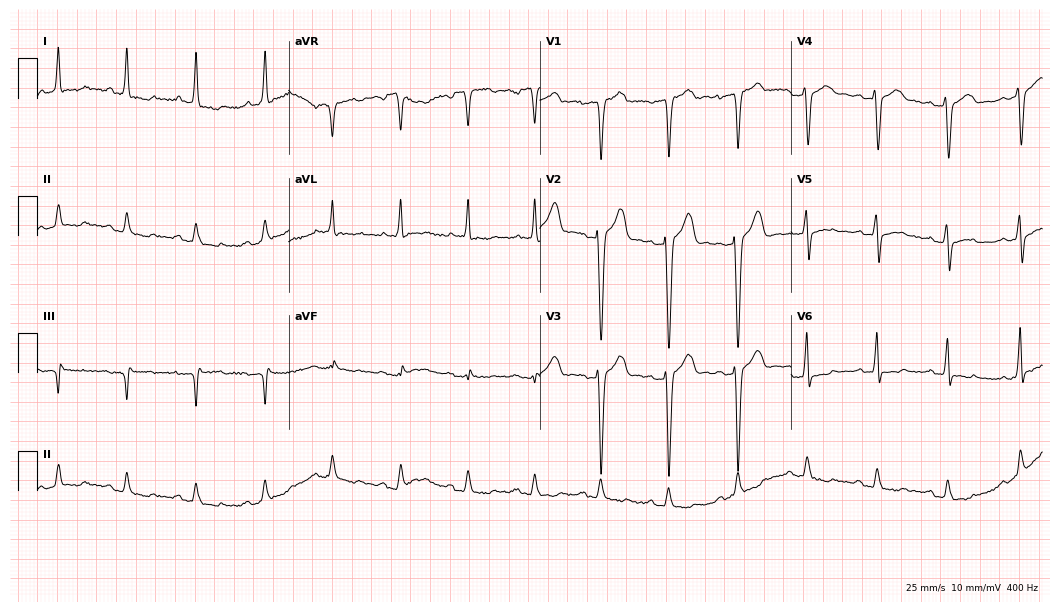
Electrocardiogram, a male, 77 years old. Of the six screened findings (first-degree AV block, right bundle branch block, left bundle branch block, sinus bradycardia, atrial fibrillation, sinus tachycardia), none is recorded.